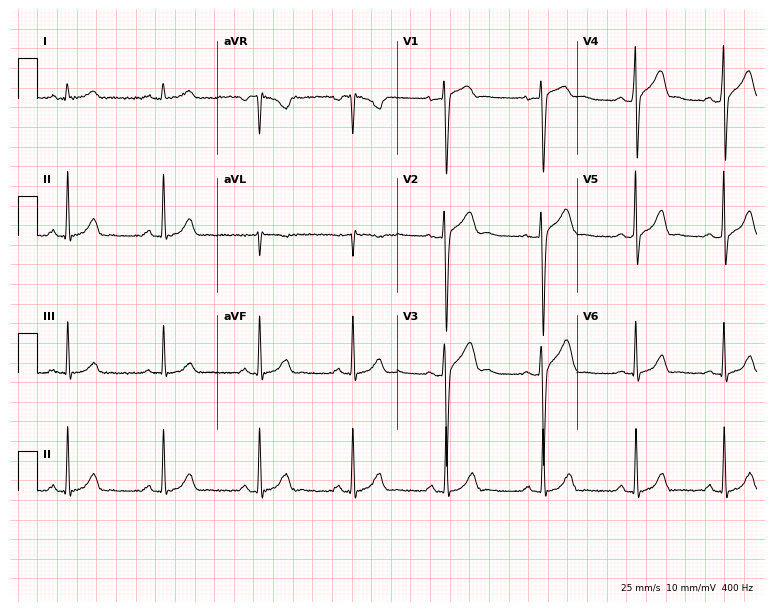
Resting 12-lead electrocardiogram. Patient: a 22-year-old male. None of these six findings is recorded: first-degree AV block, right bundle branch block (RBBB), left bundle branch block (LBBB), sinus bradycardia, atrial fibrillation (AF), sinus tachycardia.